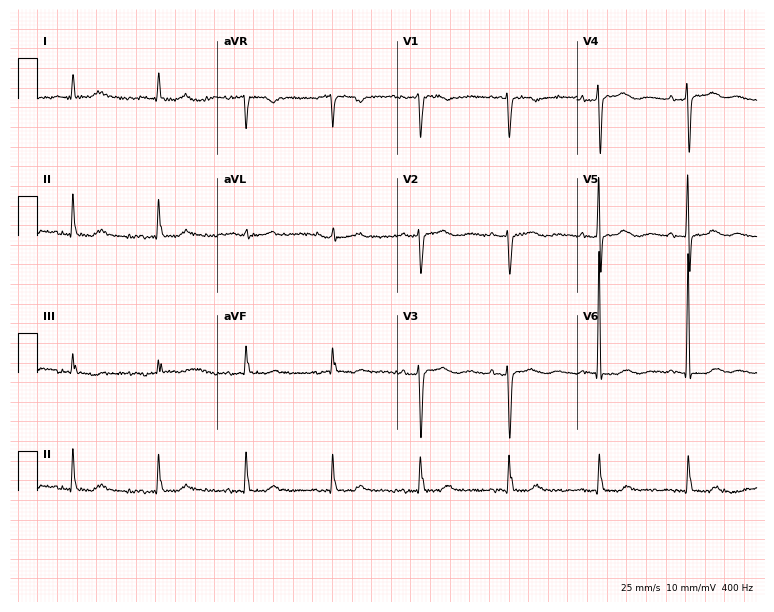
Standard 12-lead ECG recorded from a woman, 84 years old. None of these six findings is recorded: first-degree AV block, right bundle branch block (RBBB), left bundle branch block (LBBB), sinus bradycardia, atrial fibrillation (AF), sinus tachycardia. Only these six findings were labelled.